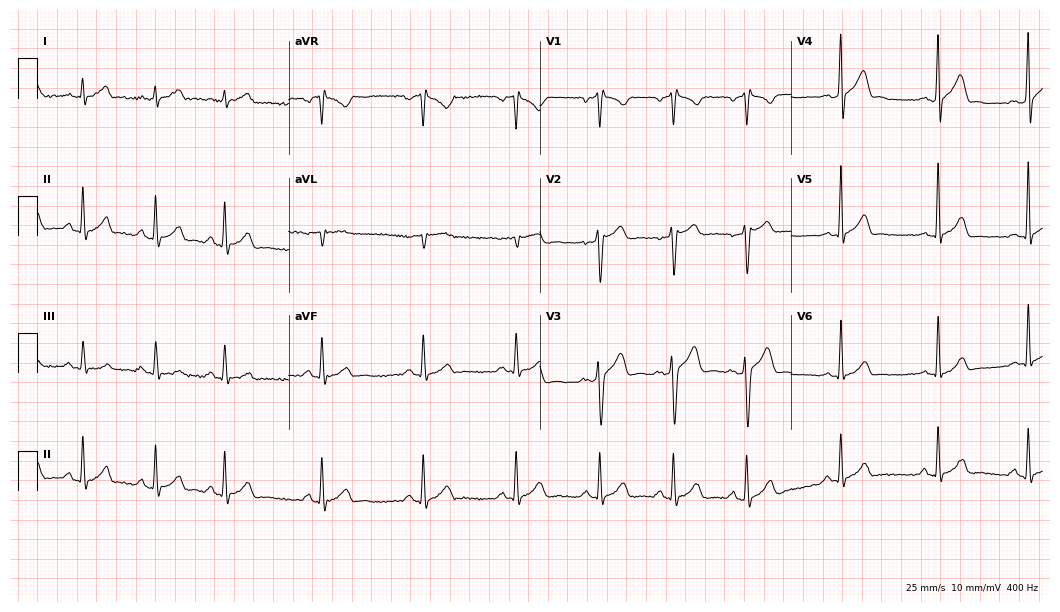
Resting 12-lead electrocardiogram. Patient: a 27-year-old man. Read as a normal ECG.